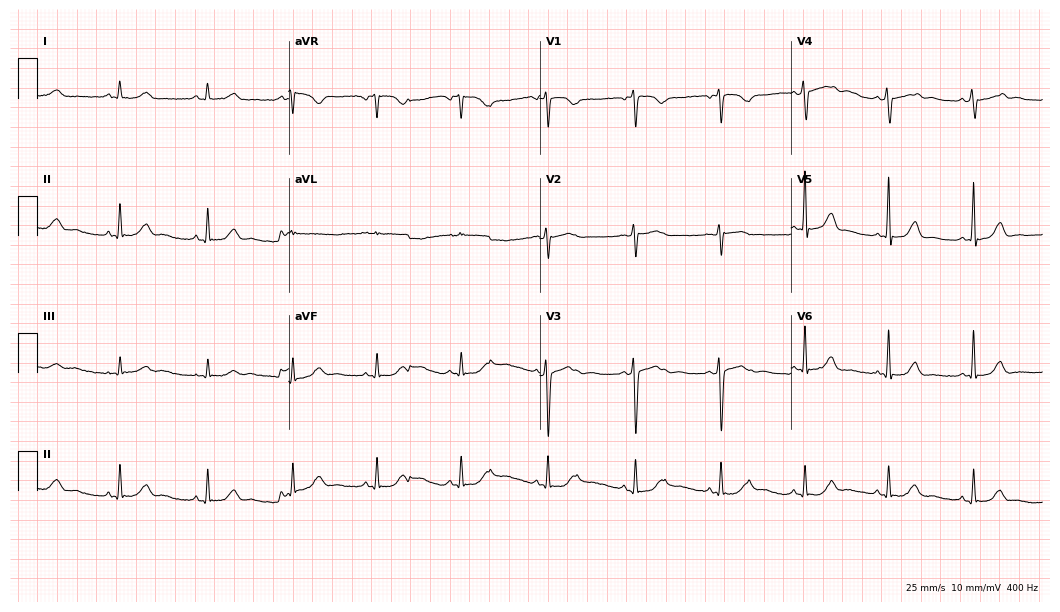
Resting 12-lead electrocardiogram. Patient: a woman, 51 years old. None of these six findings is recorded: first-degree AV block, right bundle branch block, left bundle branch block, sinus bradycardia, atrial fibrillation, sinus tachycardia. Only these six findings were labelled.